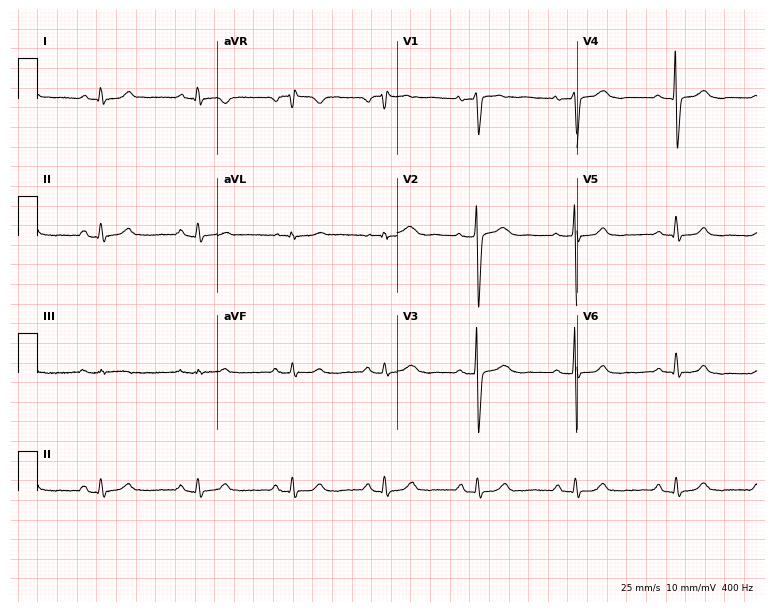
12-lead ECG (7.3-second recording at 400 Hz) from a woman, 57 years old. Labelled as a normal ECG.